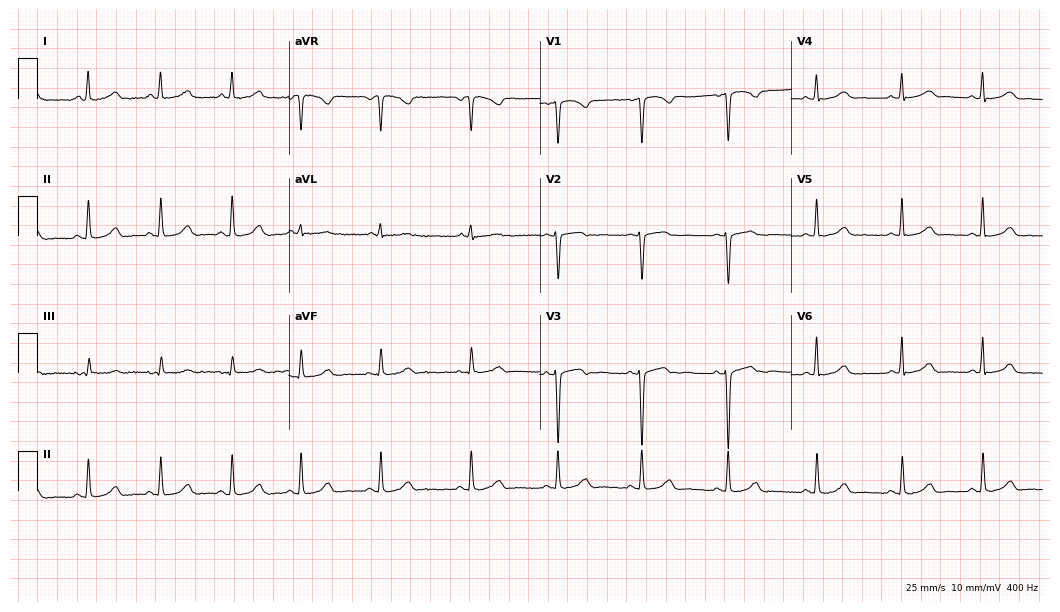
Resting 12-lead electrocardiogram. Patient: a female, 41 years old. None of these six findings is recorded: first-degree AV block, right bundle branch block (RBBB), left bundle branch block (LBBB), sinus bradycardia, atrial fibrillation (AF), sinus tachycardia.